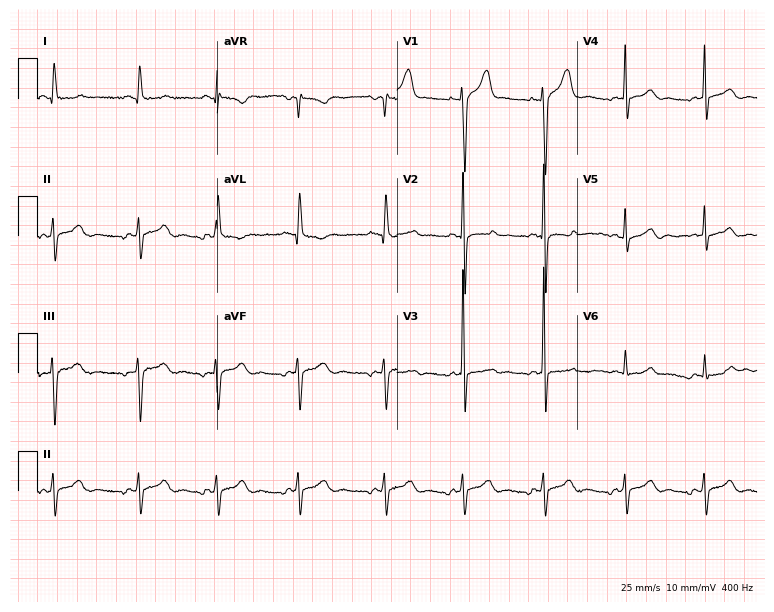
Resting 12-lead electrocardiogram. Patient: a male, 22 years old. None of these six findings is recorded: first-degree AV block, right bundle branch block (RBBB), left bundle branch block (LBBB), sinus bradycardia, atrial fibrillation (AF), sinus tachycardia. Other findings, if any, are not listed.